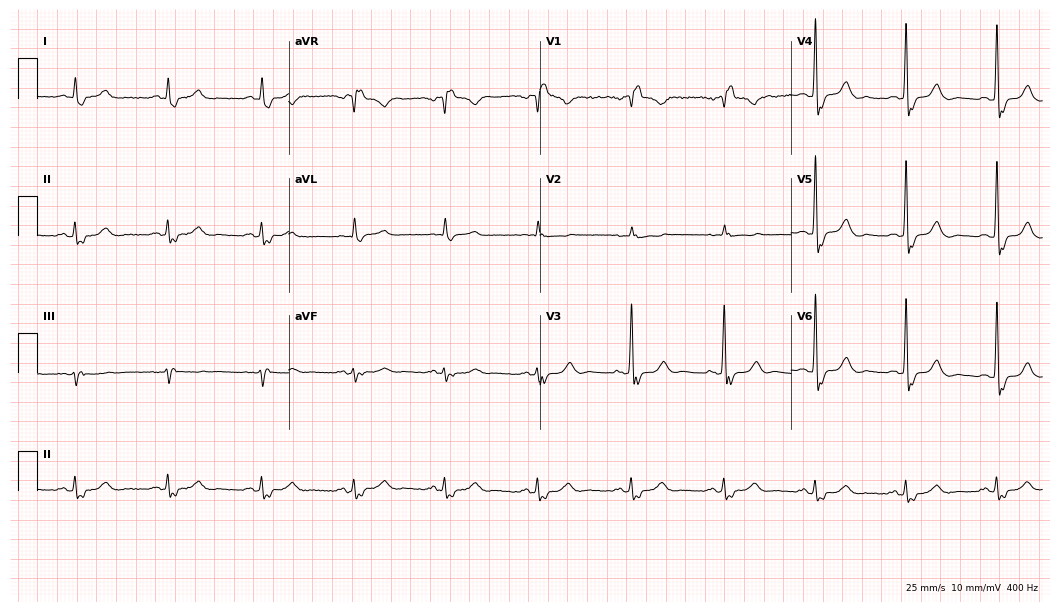
Standard 12-lead ECG recorded from a 79-year-old man. None of these six findings is recorded: first-degree AV block, right bundle branch block, left bundle branch block, sinus bradycardia, atrial fibrillation, sinus tachycardia.